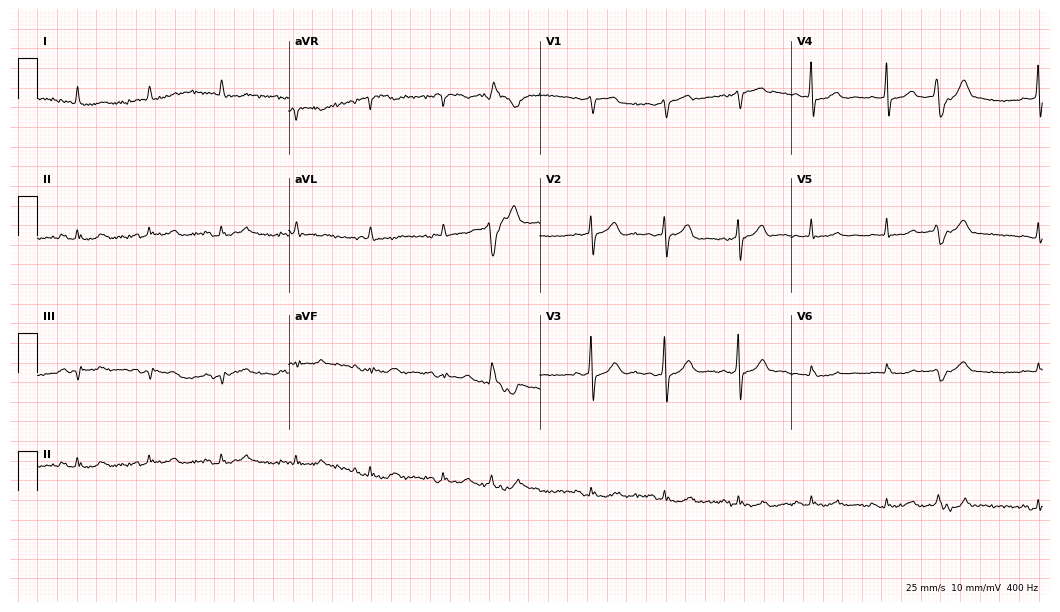
Standard 12-lead ECG recorded from an 85-year-old woman (10.2-second recording at 400 Hz). None of these six findings is recorded: first-degree AV block, right bundle branch block (RBBB), left bundle branch block (LBBB), sinus bradycardia, atrial fibrillation (AF), sinus tachycardia.